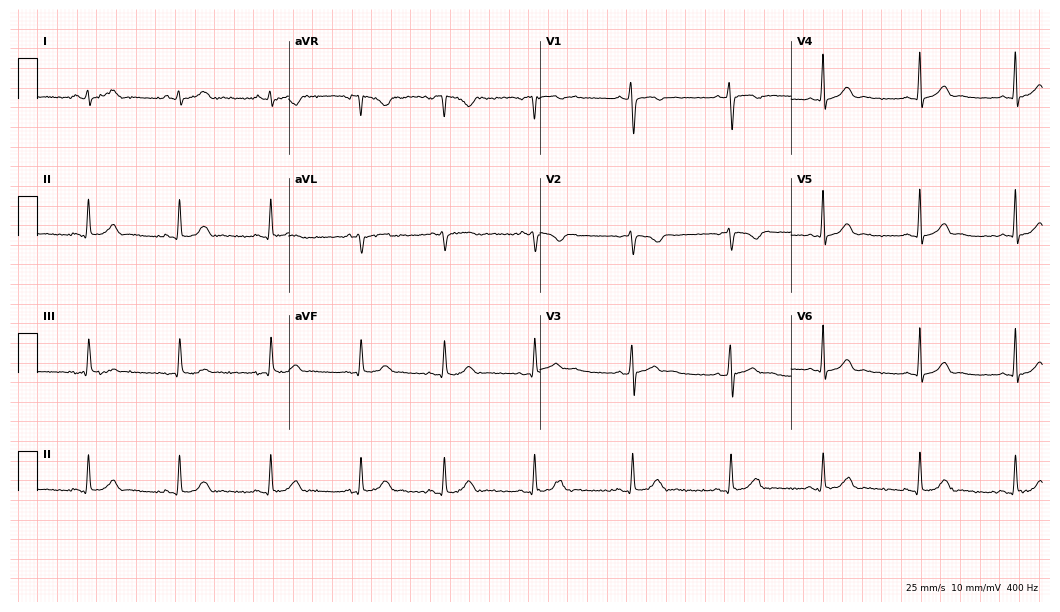
ECG — a 20-year-old woman. Labelled as a normal ECG.